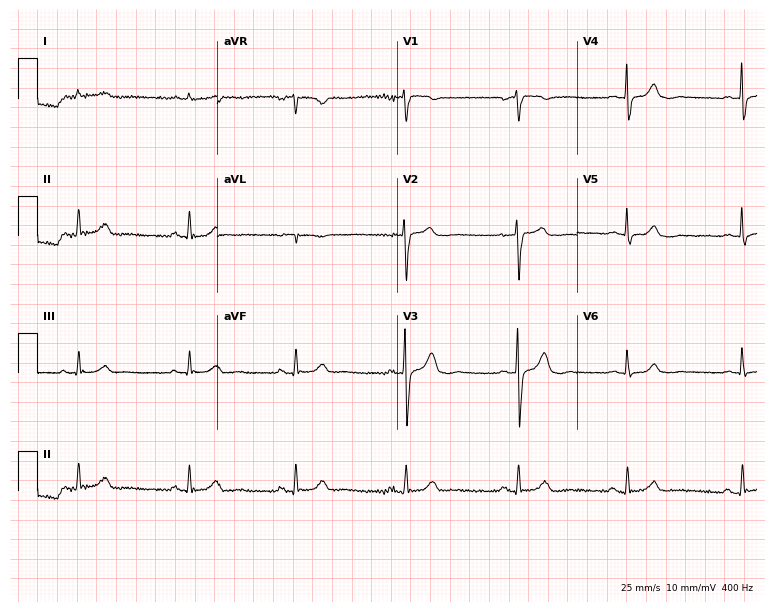
Electrocardiogram (7.3-second recording at 400 Hz), a male, 46 years old. Of the six screened findings (first-degree AV block, right bundle branch block, left bundle branch block, sinus bradycardia, atrial fibrillation, sinus tachycardia), none is recorded.